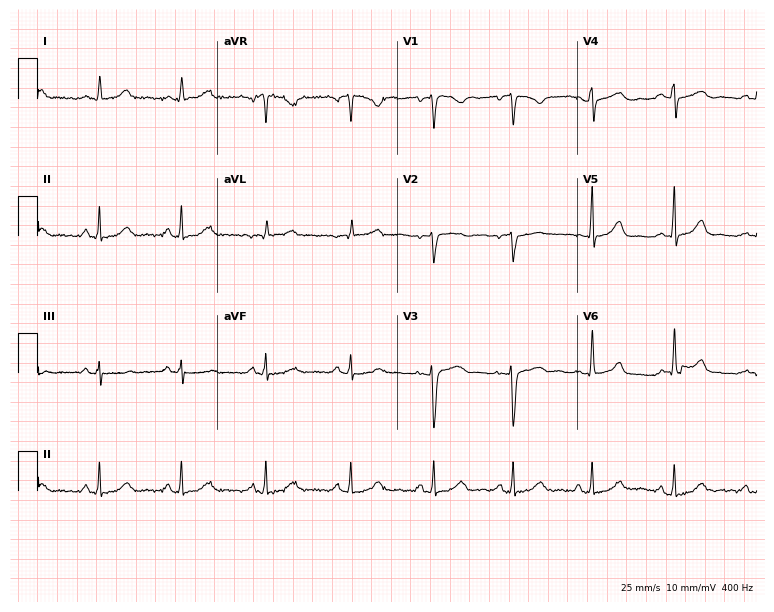
12-lead ECG from a female patient, 33 years old (7.3-second recording at 400 Hz). No first-degree AV block, right bundle branch block, left bundle branch block, sinus bradycardia, atrial fibrillation or sinus tachycardia recorded for this tracing. Only these six findings were labelled.